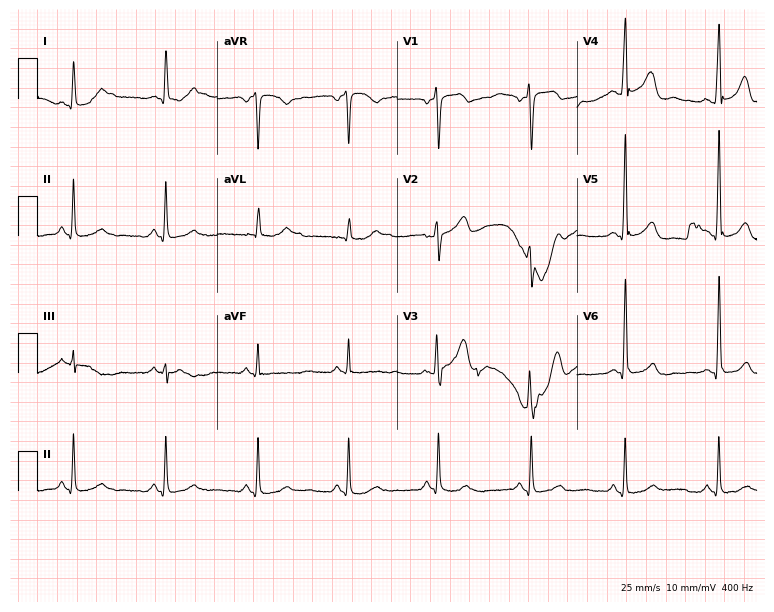
12-lead ECG from a male, 54 years old. Screened for six findings — first-degree AV block, right bundle branch block, left bundle branch block, sinus bradycardia, atrial fibrillation, sinus tachycardia — none is recorded.